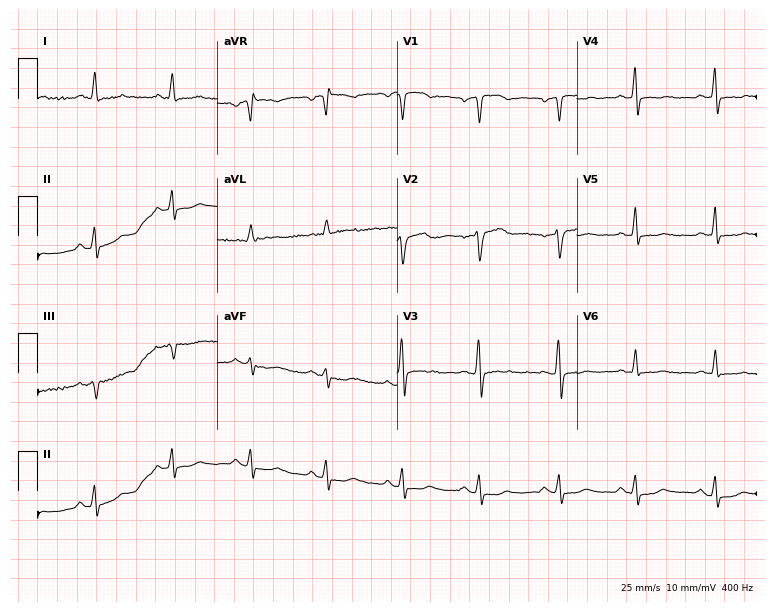
12-lead ECG (7.3-second recording at 400 Hz) from a 57-year-old female. Screened for six findings — first-degree AV block, right bundle branch block, left bundle branch block, sinus bradycardia, atrial fibrillation, sinus tachycardia — none is recorded.